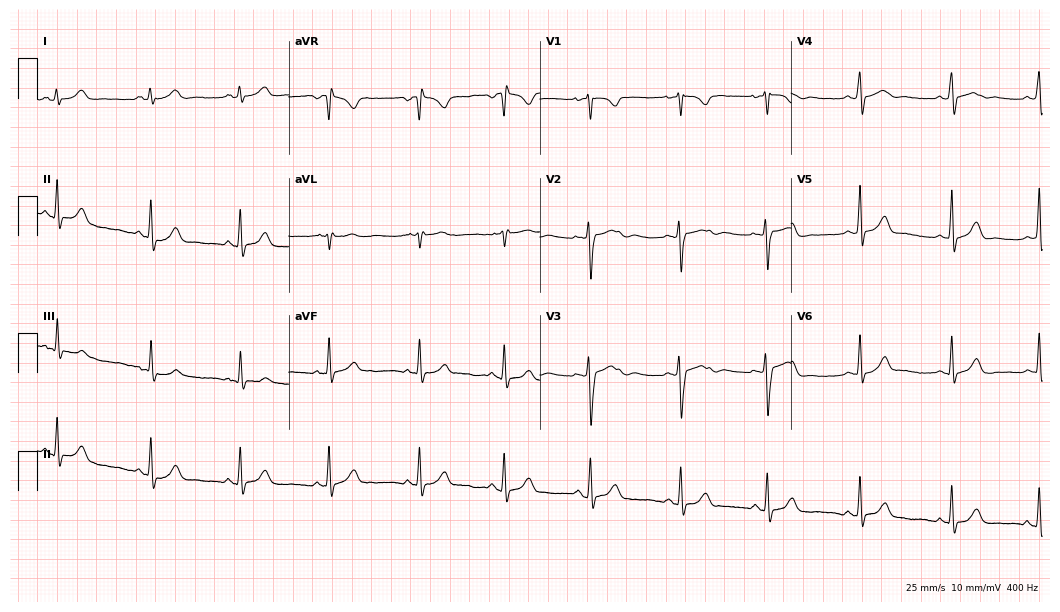
ECG (10.2-second recording at 400 Hz) — a 21-year-old female patient. Labelled as a normal ECG.